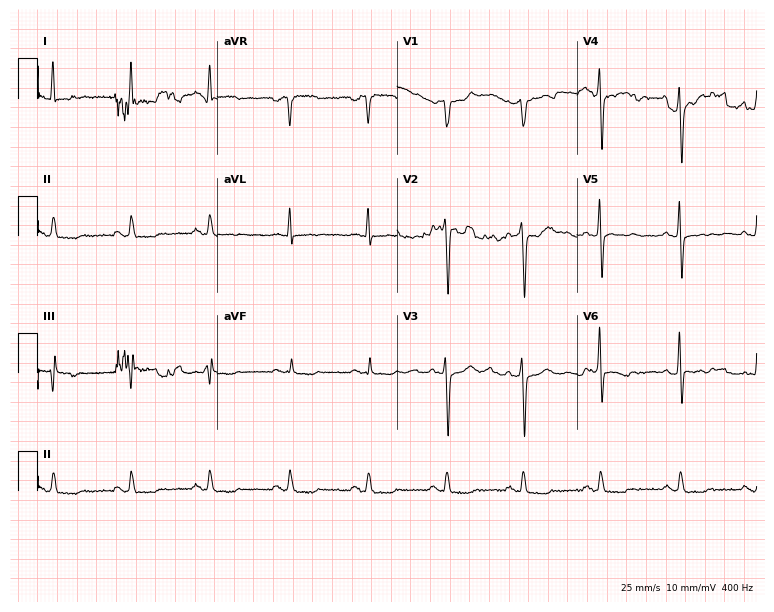
ECG — a 57-year-old male patient. Screened for six findings — first-degree AV block, right bundle branch block, left bundle branch block, sinus bradycardia, atrial fibrillation, sinus tachycardia — none is recorded. Other findings, if any, are not listed.